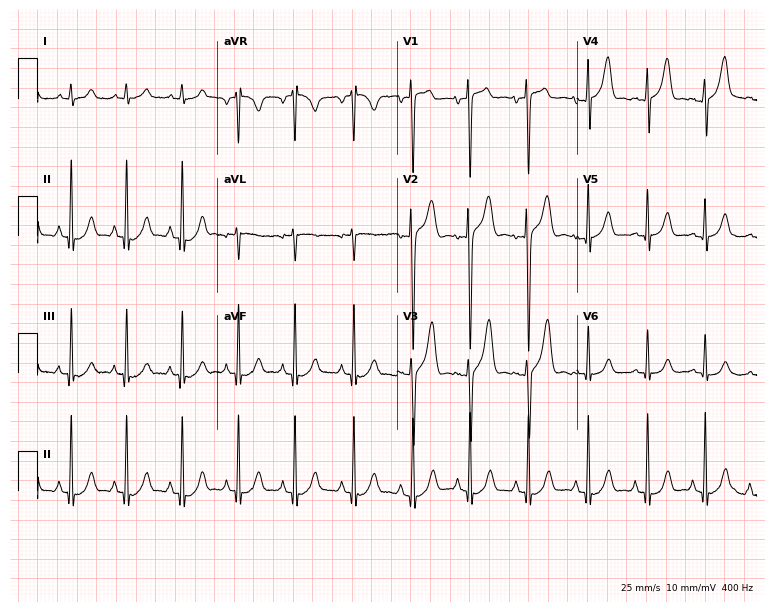
12-lead ECG from a man, 27 years old. No first-degree AV block, right bundle branch block, left bundle branch block, sinus bradycardia, atrial fibrillation or sinus tachycardia recorded for this tracing. Other findings, if any, are not listed.